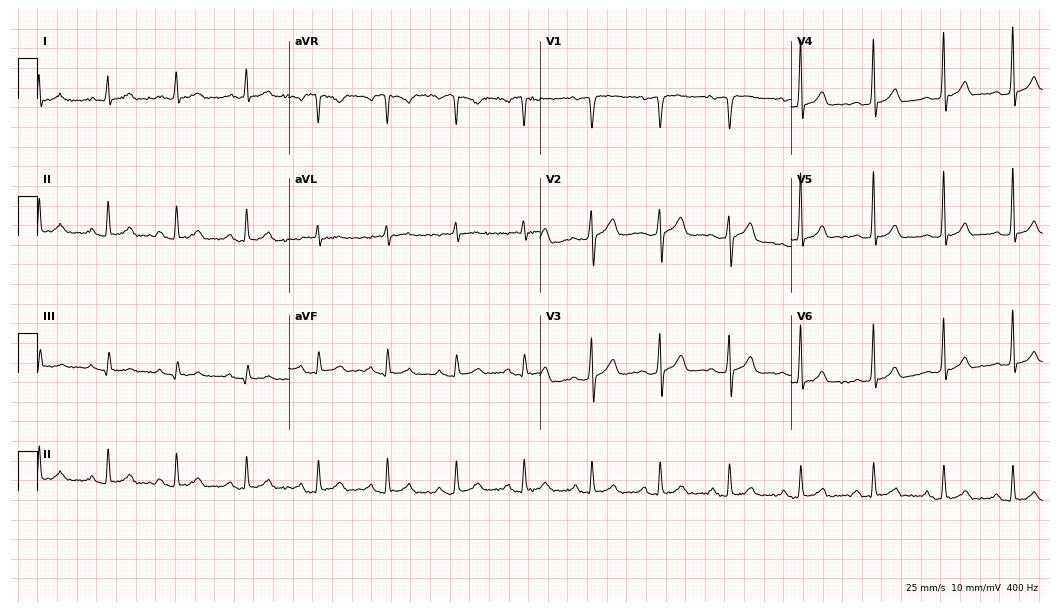
Resting 12-lead electrocardiogram (10.2-second recording at 400 Hz). Patient: a 42-year-old male. None of these six findings is recorded: first-degree AV block, right bundle branch block, left bundle branch block, sinus bradycardia, atrial fibrillation, sinus tachycardia. Other findings, if any, are not listed.